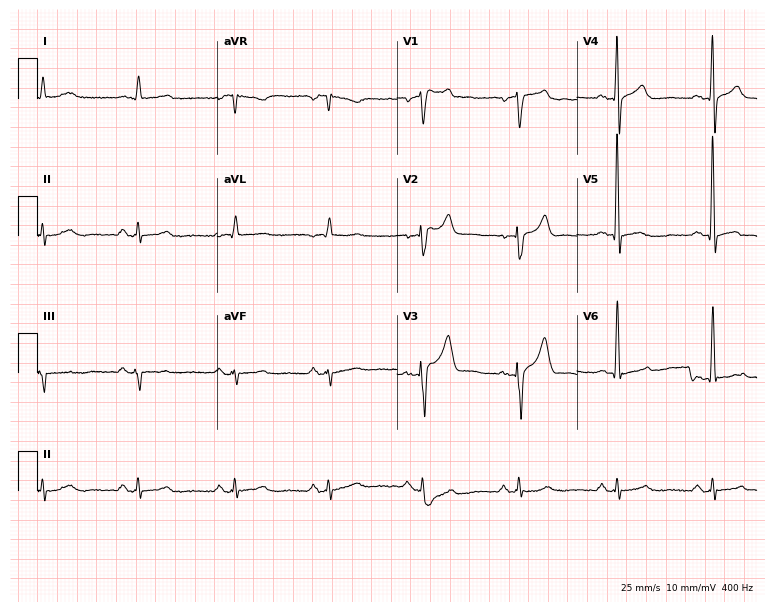
Electrocardiogram, a man, 52 years old. Of the six screened findings (first-degree AV block, right bundle branch block, left bundle branch block, sinus bradycardia, atrial fibrillation, sinus tachycardia), none is recorded.